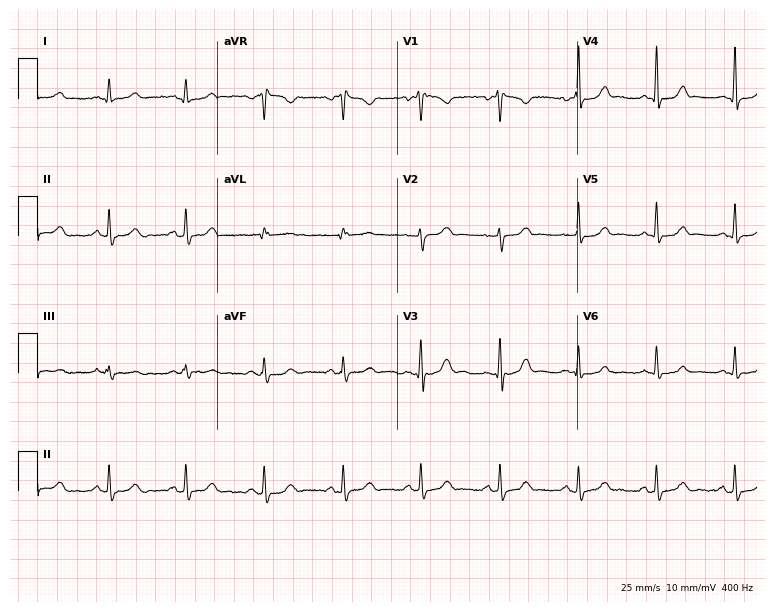
Standard 12-lead ECG recorded from a woman, 34 years old. Read as a normal ECG.